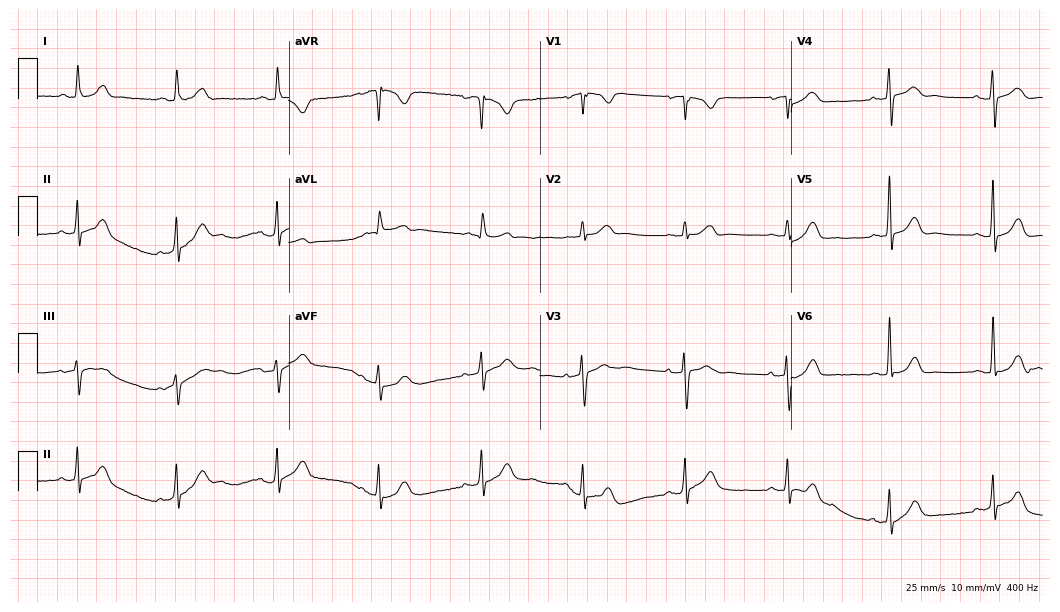
Electrocardiogram, an 83-year-old woman. Overall reading on record: normal ECG.